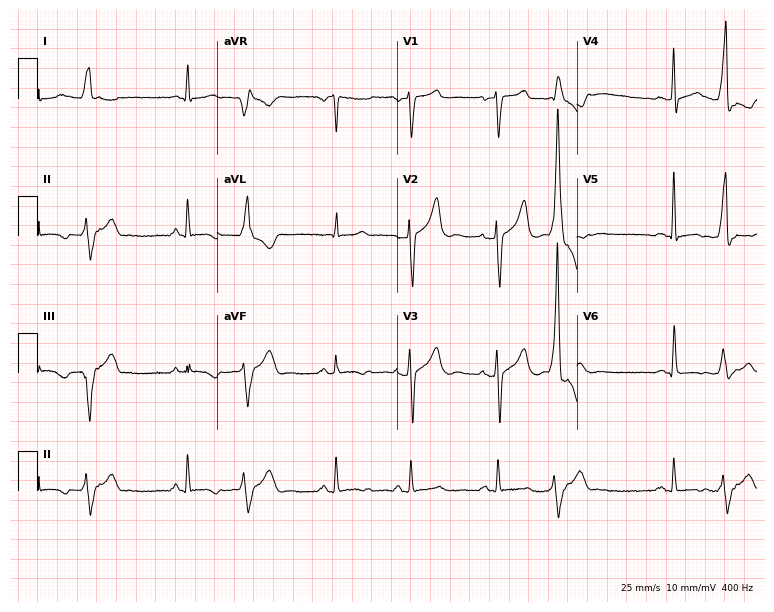
12-lead ECG from a 57-year-old man. No first-degree AV block, right bundle branch block (RBBB), left bundle branch block (LBBB), sinus bradycardia, atrial fibrillation (AF) or sinus tachycardia recorded for this tracing. Other findings, if any, are not listed.